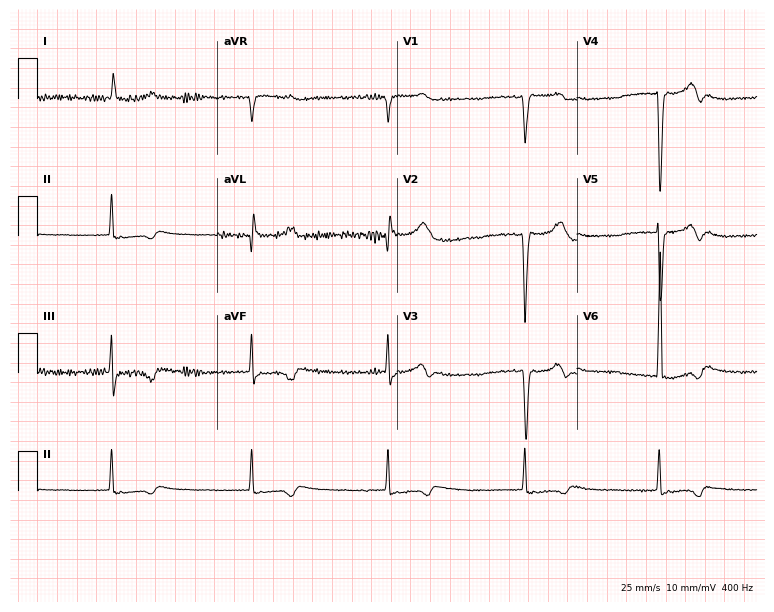
Resting 12-lead electrocardiogram (7.3-second recording at 400 Hz). Patient: a 74-year-old woman. None of these six findings is recorded: first-degree AV block, right bundle branch block, left bundle branch block, sinus bradycardia, atrial fibrillation, sinus tachycardia.